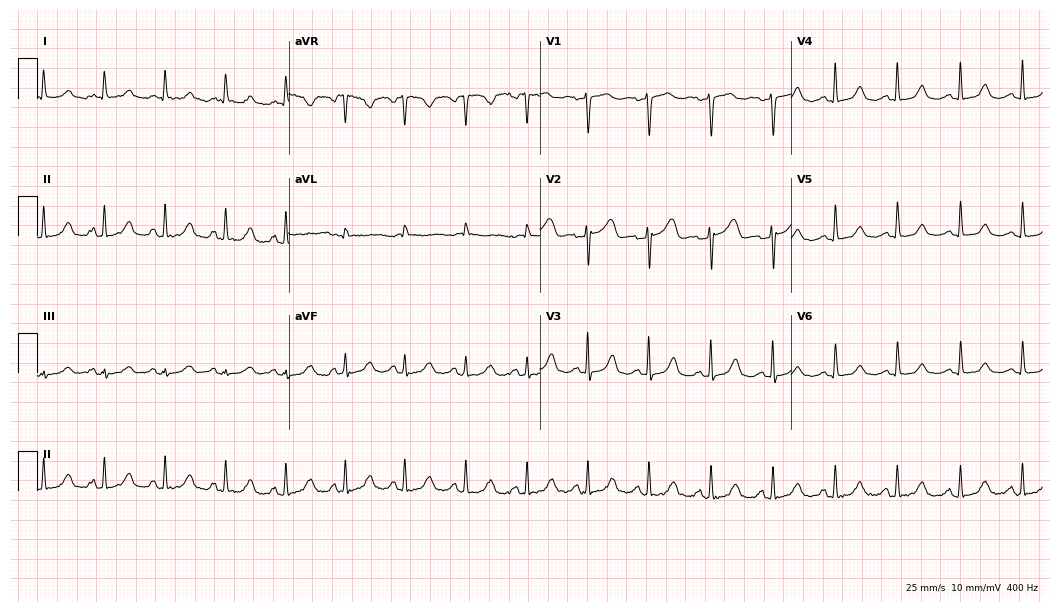
12-lead ECG from a 69-year-old female patient (10.2-second recording at 400 Hz). No first-degree AV block, right bundle branch block, left bundle branch block, sinus bradycardia, atrial fibrillation or sinus tachycardia recorded for this tracing. Other findings, if any, are not listed.